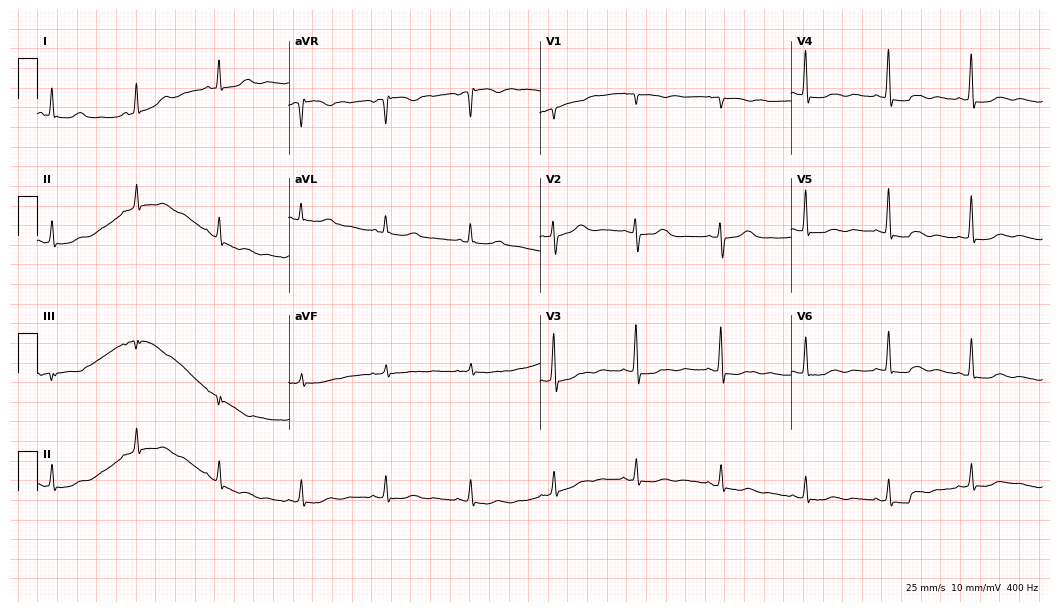
Standard 12-lead ECG recorded from a female patient, 69 years old (10.2-second recording at 400 Hz). None of these six findings is recorded: first-degree AV block, right bundle branch block, left bundle branch block, sinus bradycardia, atrial fibrillation, sinus tachycardia.